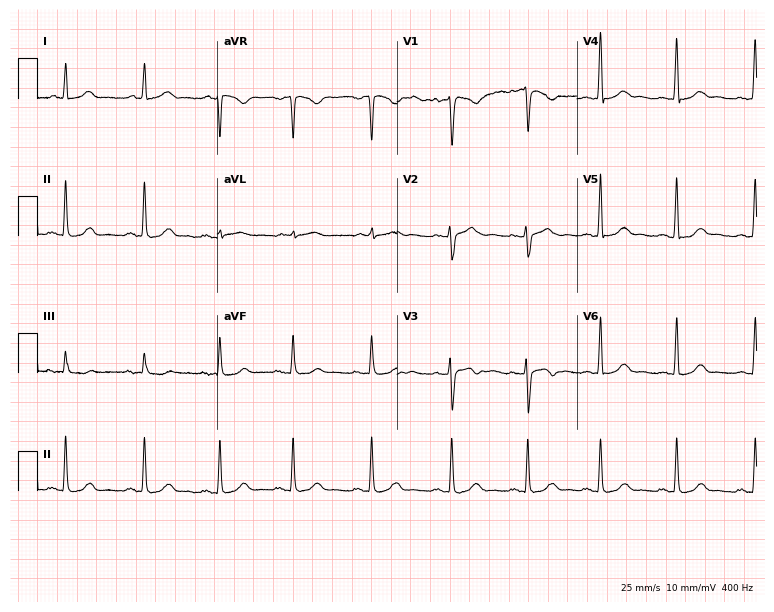
12-lead ECG (7.3-second recording at 400 Hz) from a woman, 40 years old. Labelled as a normal ECG.